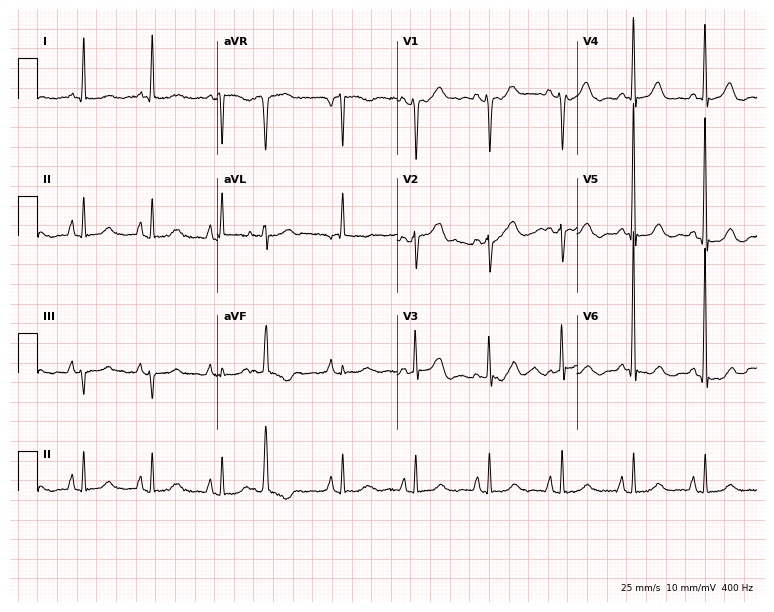
12-lead ECG from a female, 71 years old. No first-degree AV block, right bundle branch block, left bundle branch block, sinus bradycardia, atrial fibrillation or sinus tachycardia recorded for this tracing. Findings outside these six are not listed.